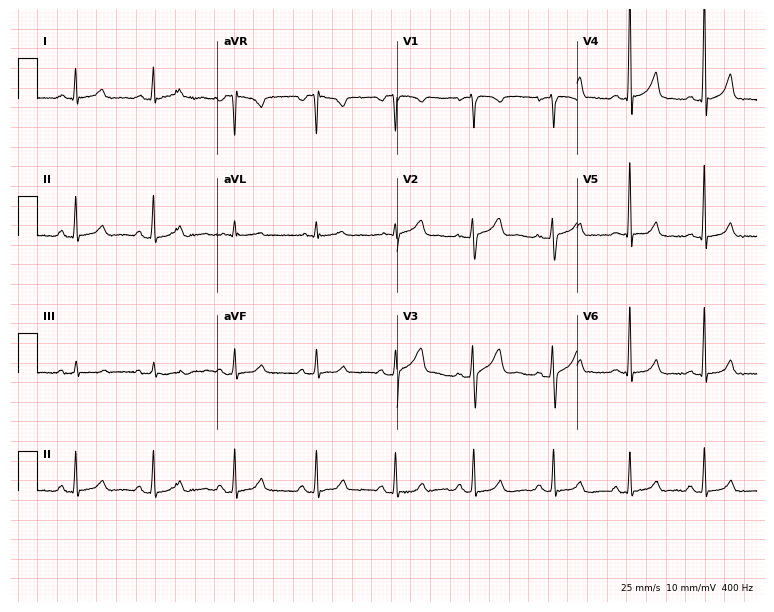
Electrocardiogram, a 30-year-old female. Overall reading on record: normal ECG.